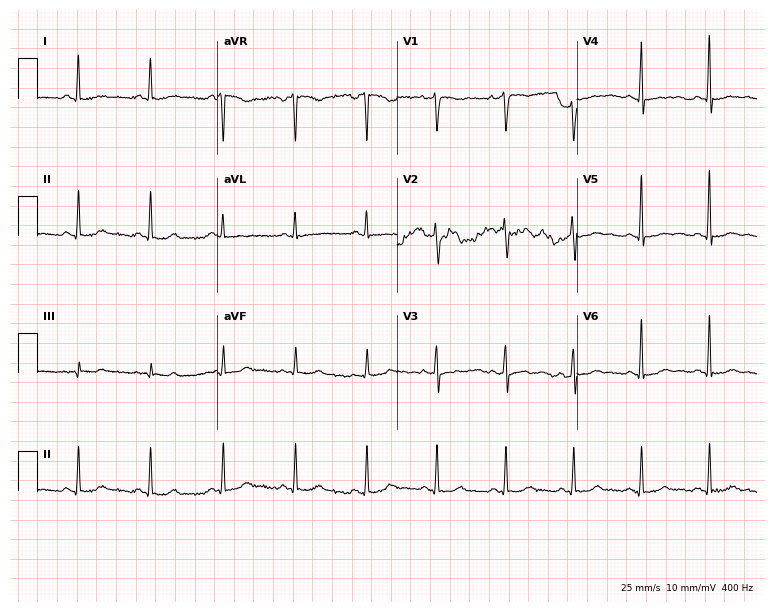
12-lead ECG from a 40-year-old woman. Screened for six findings — first-degree AV block, right bundle branch block, left bundle branch block, sinus bradycardia, atrial fibrillation, sinus tachycardia — none is recorded. Only these six findings were labelled.